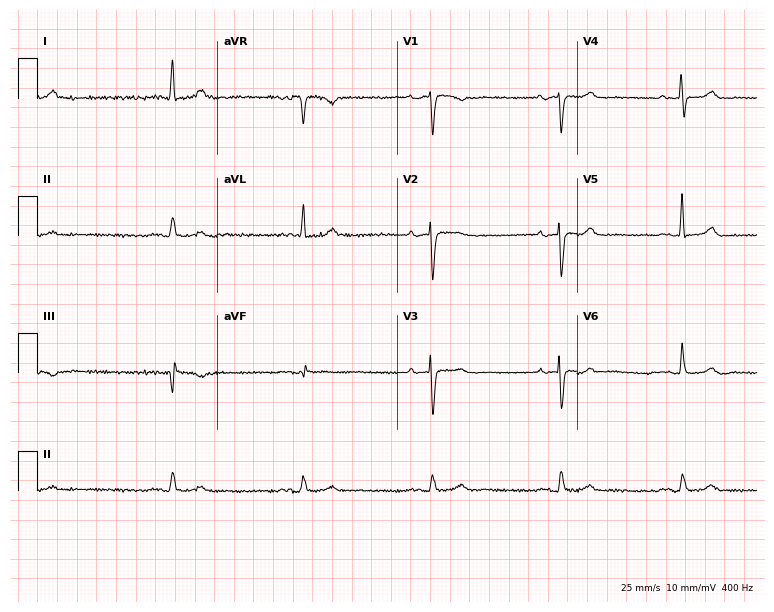
Electrocardiogram (7.3-second recording at 400 Hz), a woman, 70 years old. Of the six screened findings (first-degree AV block, right bundle branch block, left bundle branch block, sinus bradycardia, atrial fibrillation, sinus tachycardia), none is recorded. Only these six findings were labelled.